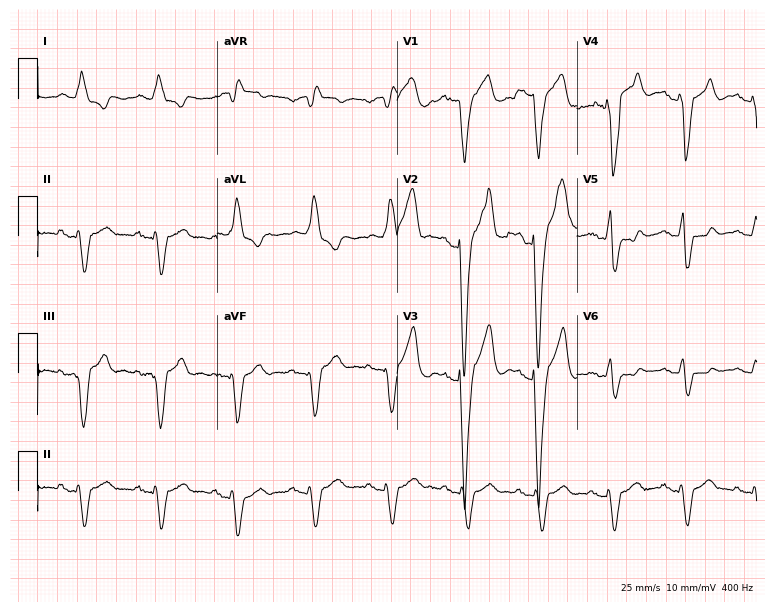
Electrocardiogram, a man, 75 years old. Interpretation includes left bundle branch block.